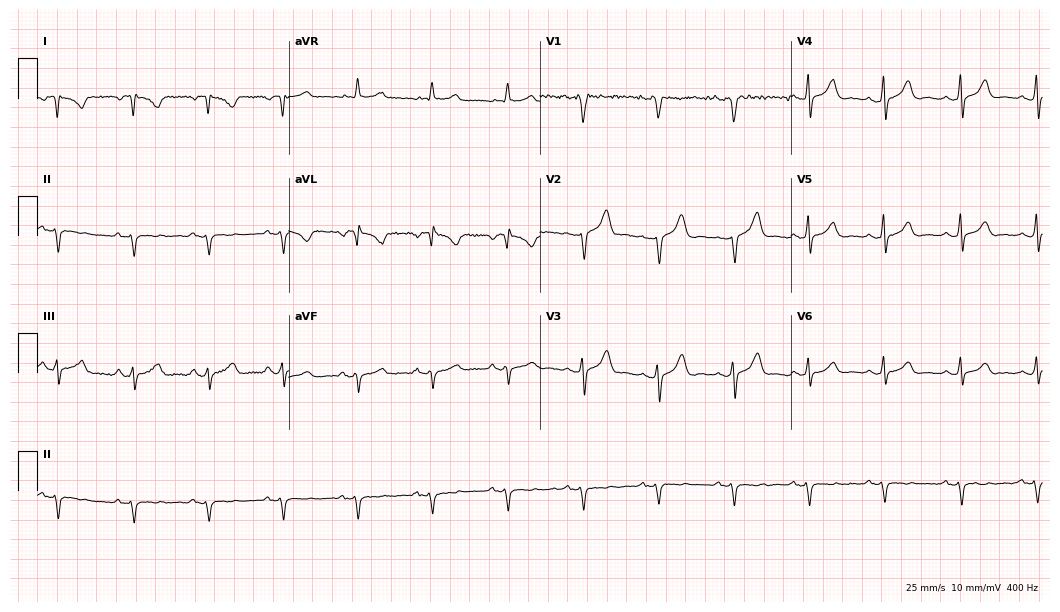
Electrocardiogram, a 46-year-old male patient. Of the six screened findings (first-degree AV block, right bundle branch block (RBBB), left bundle branch block (LBBB), sinus bradycardia, atrial fibrillation (AF), sinus tachycardia), none is recorded. Other findings, if any, are not listed.